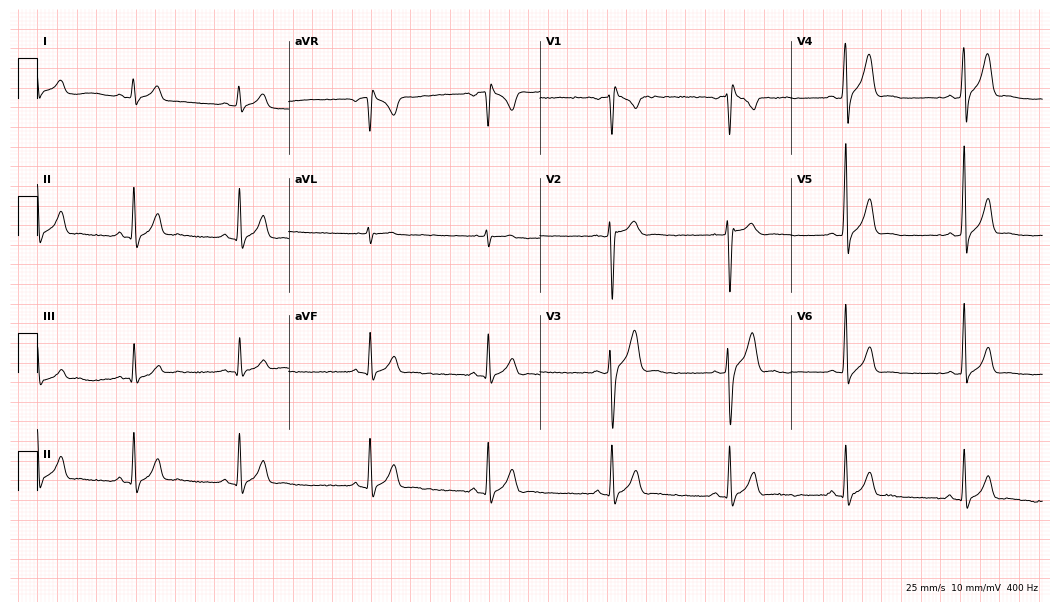
Resting 12-lead electrocardiogram (10.2-second recording at 400 Hz). Patient: a 23-year-old man. Read as a normal ECG.